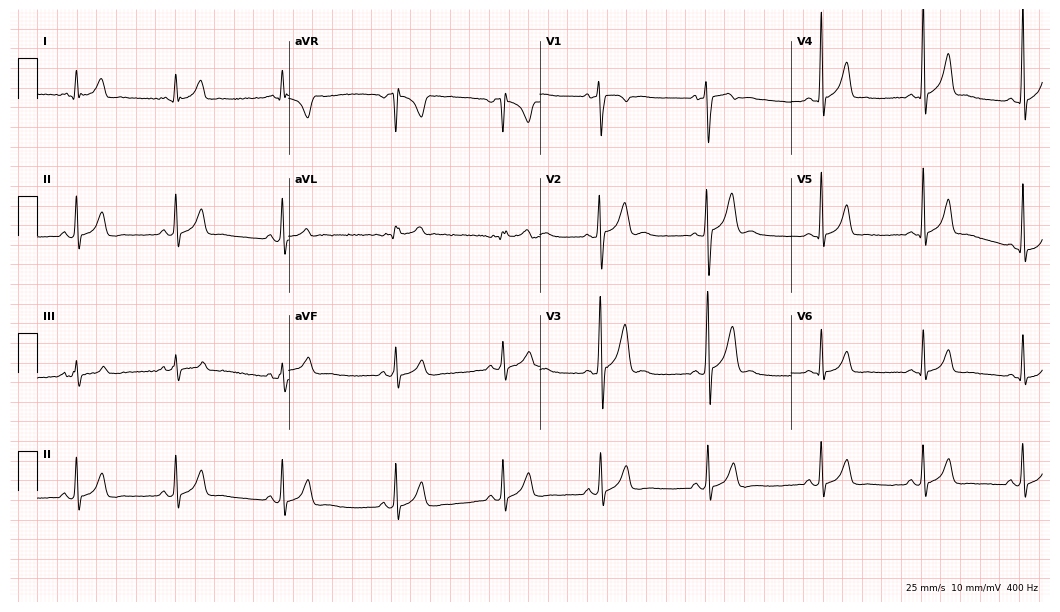
12-lead ECG from a man, 19 years old. Recorded interpretation: within normal limits.